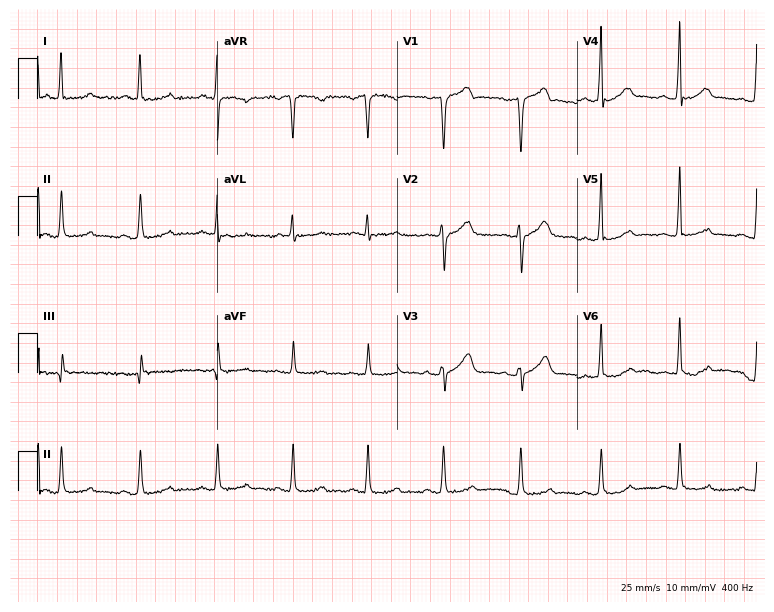
Electrocardiogram, a 39-year-old male patient. Overall reading on record: normal ECG.